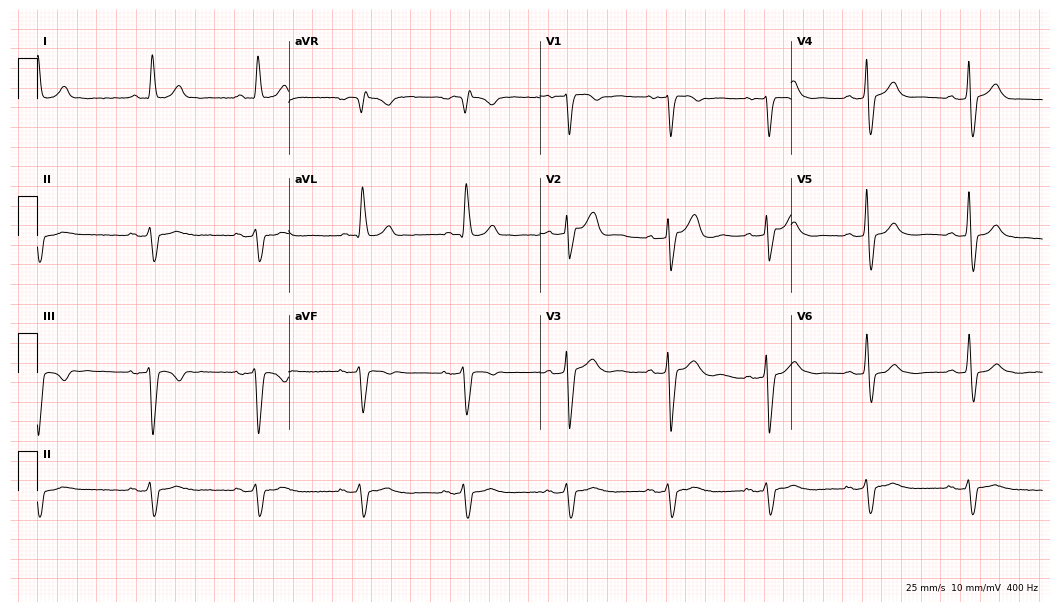
12-lead ECG (10.2-second recording at 400 Hz) from a man, 87 years old. Screened for six findings — first-degree AV block, right bundle branch block, left bundle branch block, sinus bradycardia, atrial fibrillation, sinus tachycardia — none is recorded.